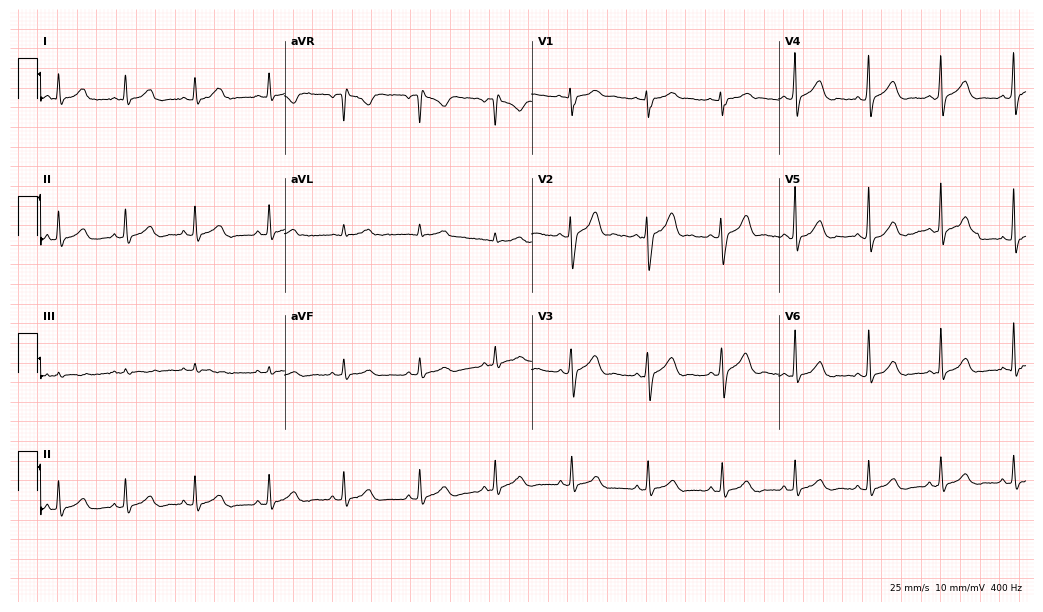
12-lead ECG from a female patient, 26 years old (10.1-second recording at 400 Hz). Recorded interpretation: within normal limits.